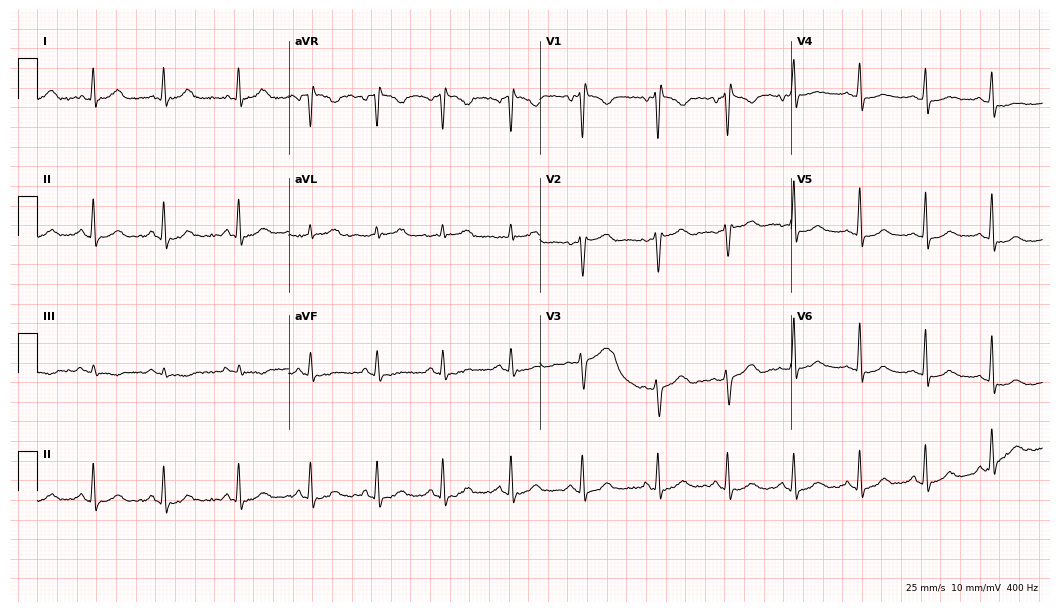
12-lead ECG from a woman, 38 years old. Recorded interpretation: within normal limits.